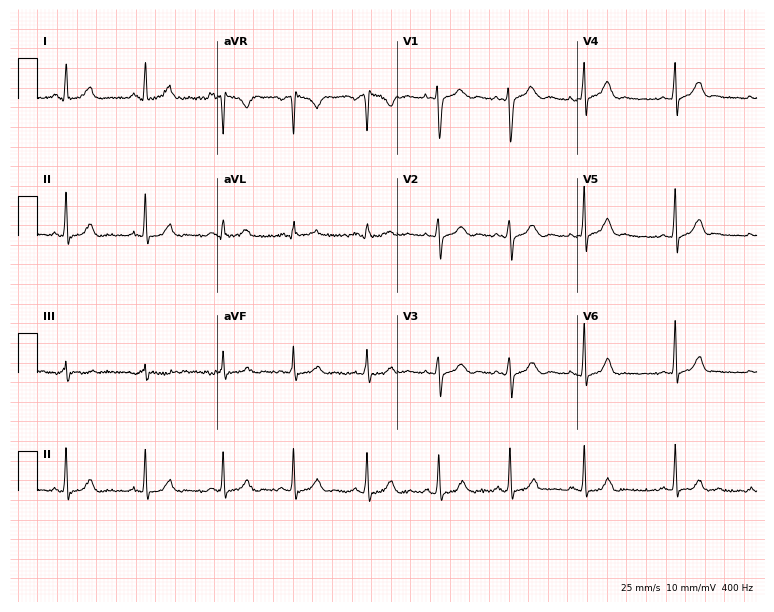
ECG — an 18-year-old female. Labelled as a normal ECG.